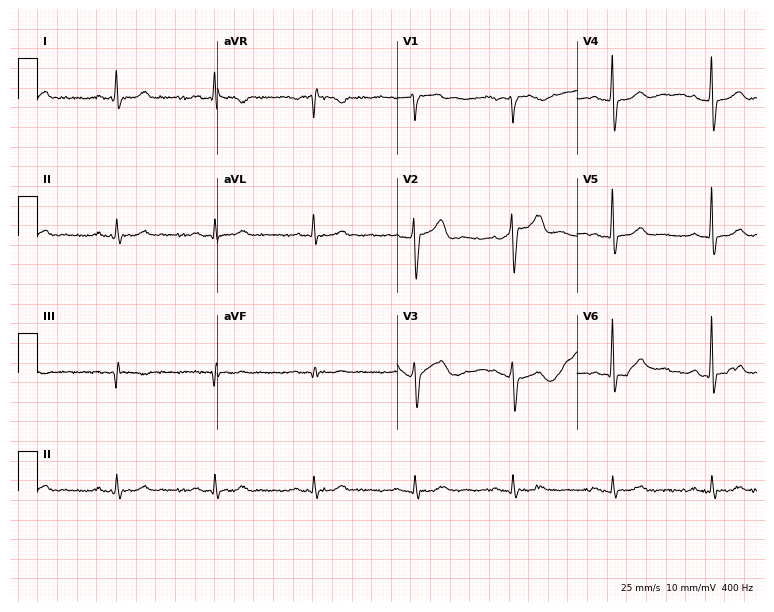
Electrocardiogram, a man, 67 years old. Overall reading on record: normal ECG.